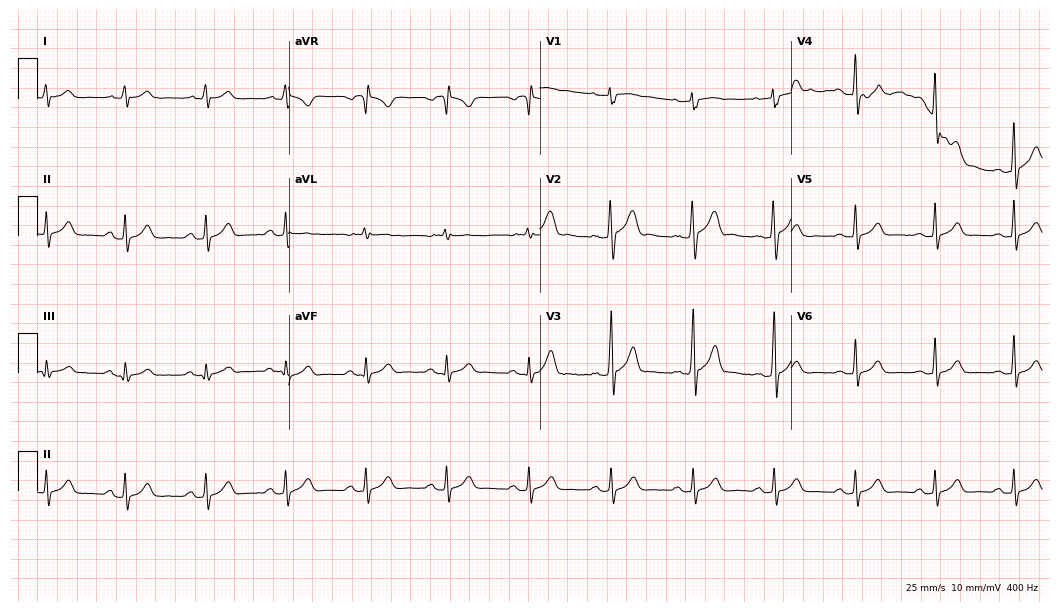
Electrocardiogram (10.2-second recording at 400 Hz), a 30-year-old male. Of the six screened findings (first-degree AV block, right bundle branch block, left bundle branch block, sinus bradycardia, atrial fibrillation, sinus tachycardia), none is recorded. Findings outside these six are not listed.